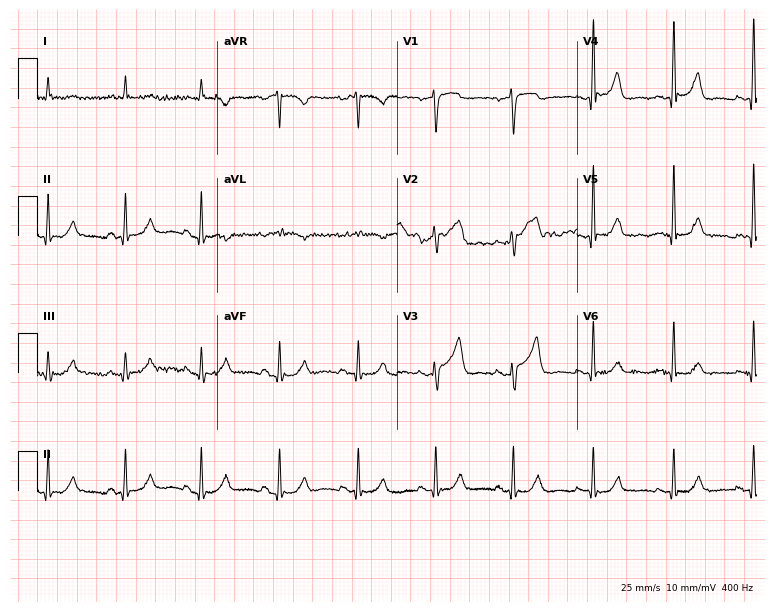
12-lead ECG from a 48-year-old man. No first-degree AV block, right bundle branch block, left bundle branch block, sinus bradycardia, atrial fibrillation or sinus tachycardia recorded for this tracing. Other findings, if any, are not listed.